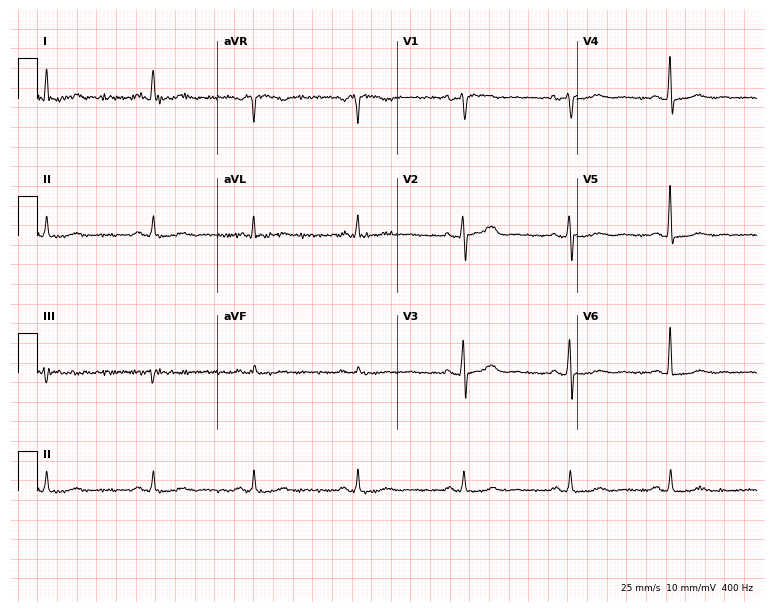
Standard 12-lead ECG recorded from a female patient, 56 years old. Read as a normal ECG.